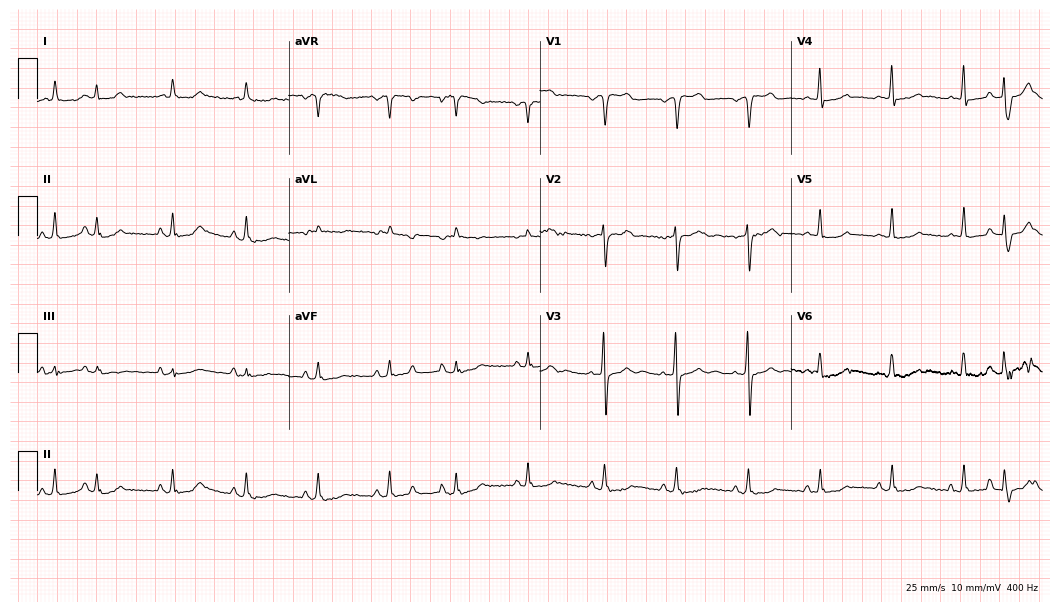
Electrocardiogram, a woman, 71 years old. Of the six screened findings (first-degree AV block, right bundle branch block, left bundle branch block, sinus bradycardia, atrial fibrillation, sinus tachycardia), none is recorded.